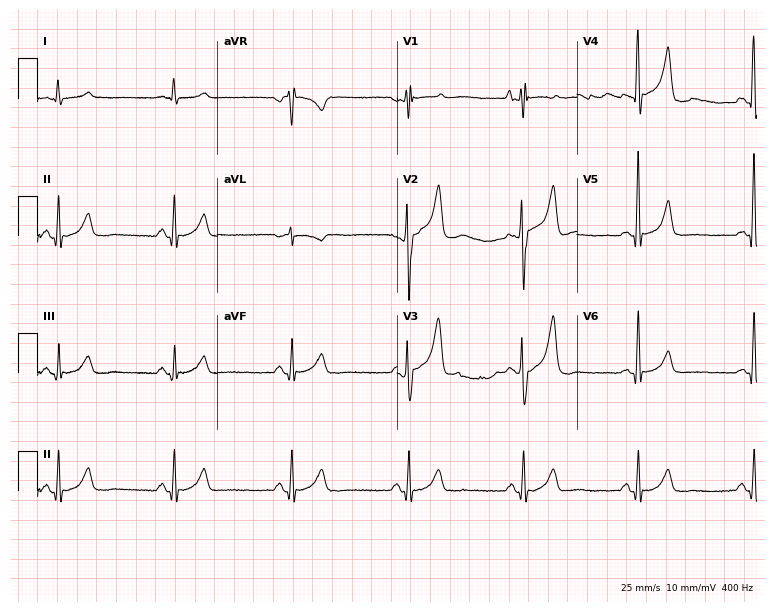
Electrocardiogram, a male, 52 years old. Of the six screened findings (first-degree AV block, right bundle branch block (RBBB), left bundle branch block (LBBB), sinus bradycardia, atrial fibrillation (AF), sinus tachycardia), none is recorded.